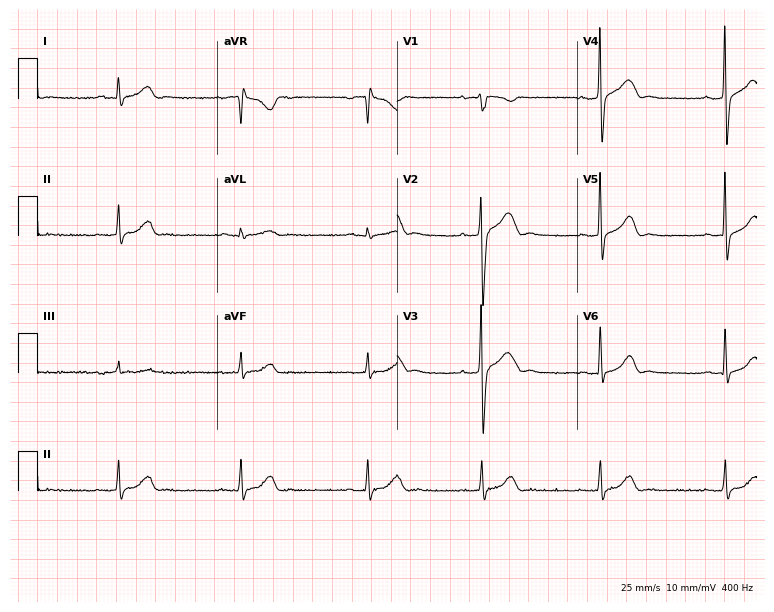
Standard 12-lead ECG recorded from a male, 27 years old. Read as a normal ECG.